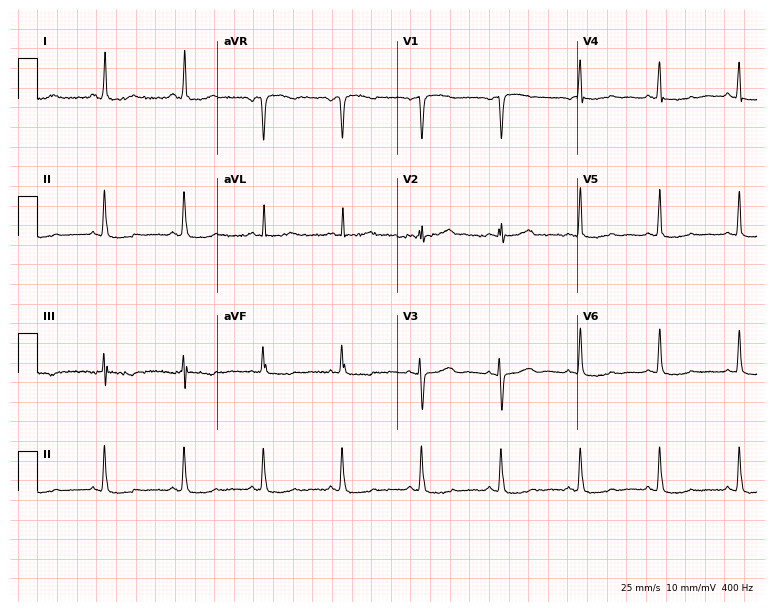
12-lead ECG (7.3-second recording at 400 Hz) from a 70-year-old female patient. Screened for six findings — first-degree AV block, right bundle branch block, left bundle branch block, sinus bradycardia, atrial fibrillation, sinus tachycardia — none is recorded.